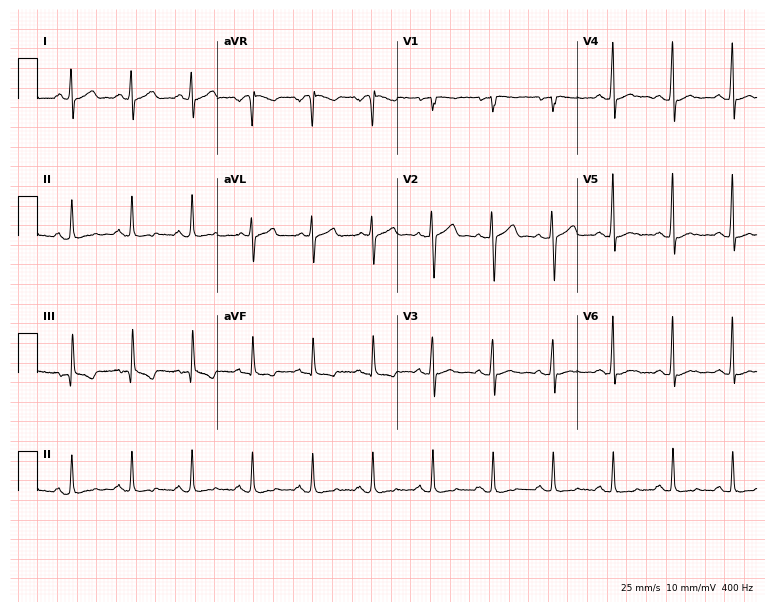
Electrocardiogram (7.3-second recording at 400 Hz), a 52-year-old male. Of the six screened findings (first-degree AV block, right bundle branch block, left bundle branch block, sinus bradycardia, atrial fibrillation, sinus tachycardia), none is recorded.